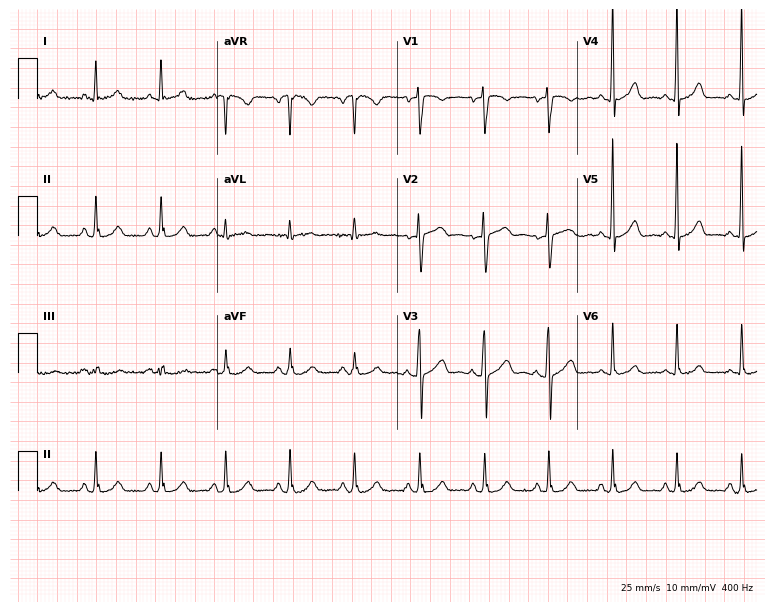
Standard 12-lead ECG recorded from a 56-year-old female. Read as a normal ECG.